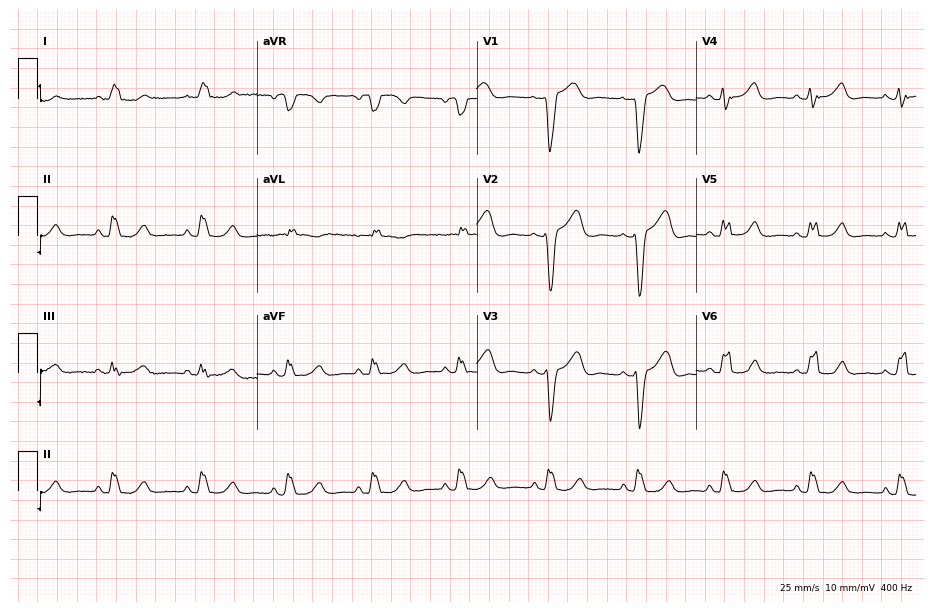
12-lead ECG (9-second recording at 400 Hz) from a woman, 64 years old. Findings include left bundle branch block.